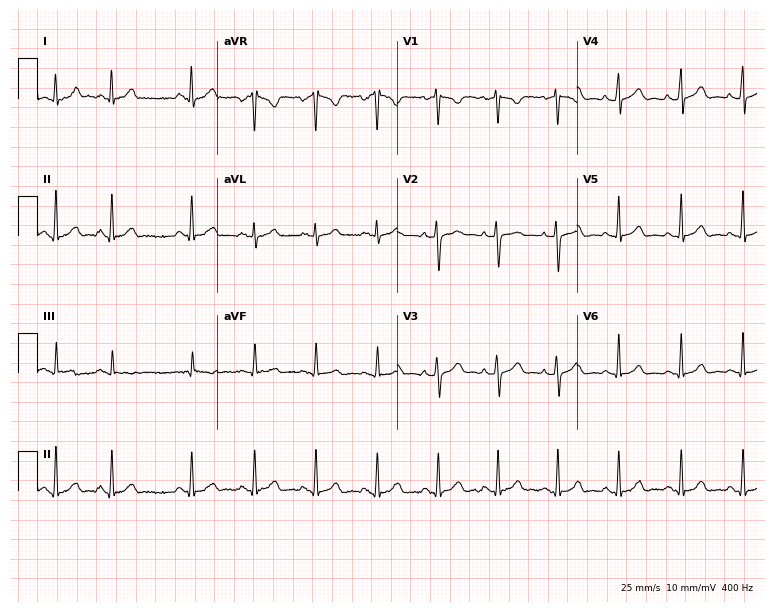
Standard 12-lead ECG recorded from a female, 21 years old. None of these six findings is recorded: first-degree AV block, right bundle branch block (RBBB), left bundle branch block (LBBB), sinus bradycardia, atrial fibrillation (AF), sinus tachycardia. Findings outside these six are not listed.